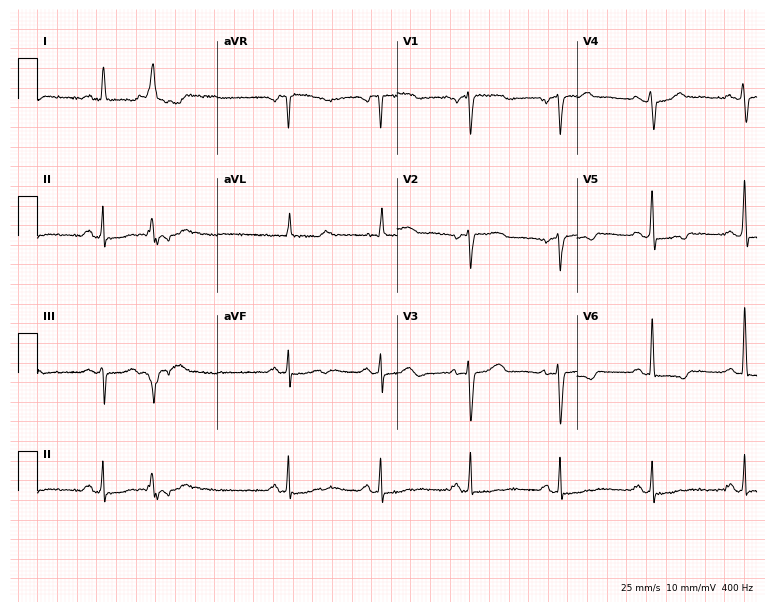
Electrocardiogram (7.3-second recording at 400 Hz), a woman, 69 years old. Of the six screened findings (first-degree AV block, right bundle branch block, left bundle branch block, sinus bradycardia, atrial fibrillation, sinus tachycardia), none is recorded.